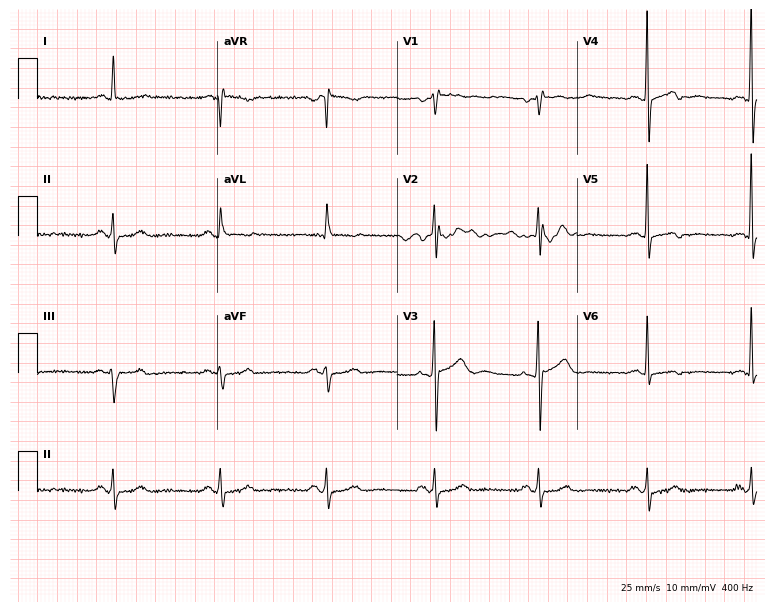
Standard 12-lead ECG recorded from a female, 62 years old. None of these six findings is recorded: first-degree AV block, right bundle branch block, left bundle branch block, sinus bradycardia, atrial fibrillation, sinus tachycardia. Findings outside these six are not listed.